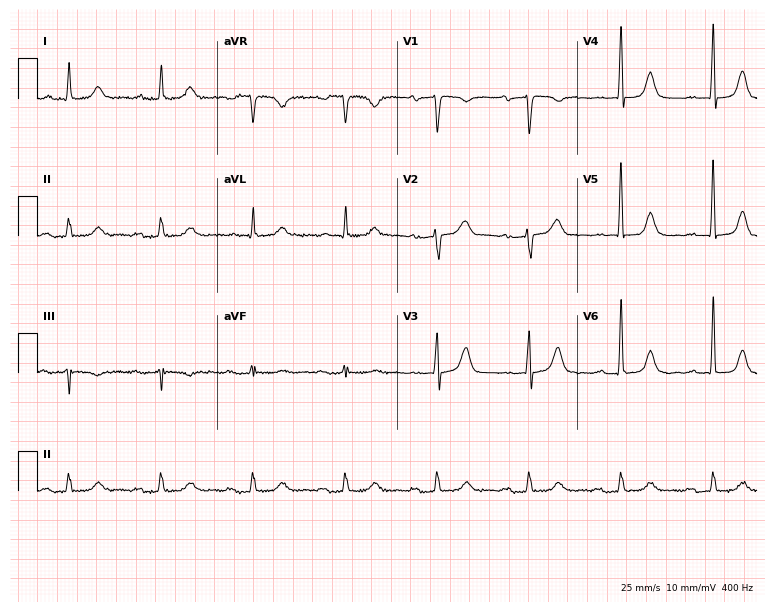
Electrocardiogram, a male patient, 84 years old. Interpretation includes first-degree AV block.